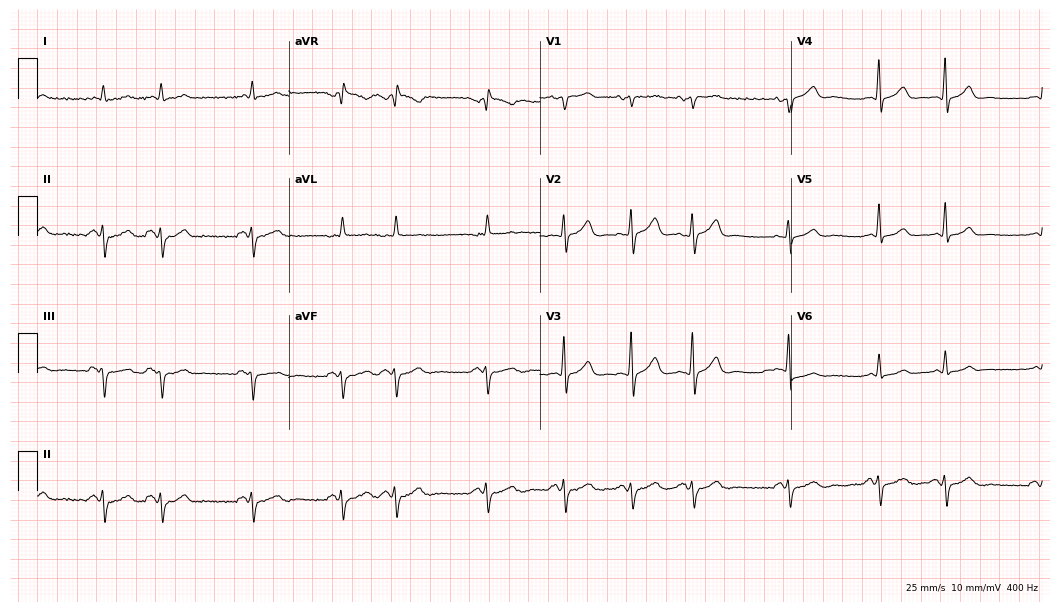
12-lead ECG (10.2-second recording at 400 Hz) from a 68-year-old male. Screened for six findings — first-degree AV block, right bundle branch block (RBBB), left bundle branch block (LBBB), sinus bradycardia, atrial fibrillation (AF), sinus tachycardia — none is recorded.